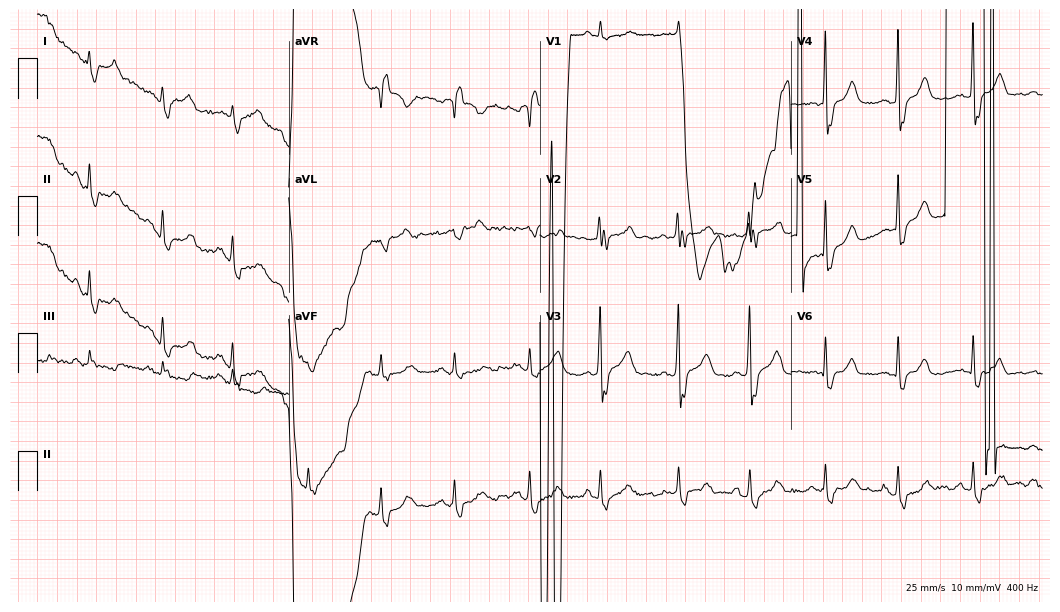
12-lead ECG from a 36-year-old male patient. No first-degree AV block, right bundle branch block (RBBB), left bundle branch block (LBBB), sinus bradycardia, atrial fibrillation (AF) or sinus tachycardia recorded for this tracing.